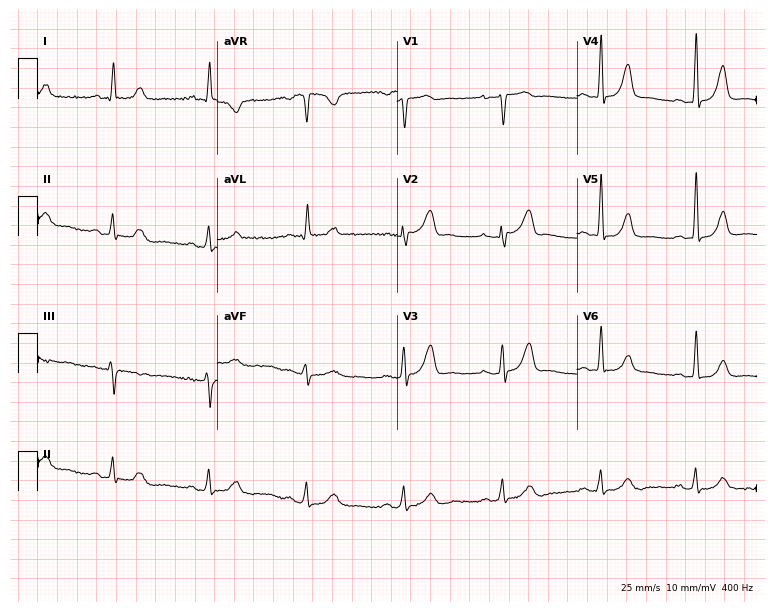
Standard 12-lead ECG recorded from a 61-year-old female patient. None of these six findings is recorded: first-degree AV block, right bundle branch block, left bundle branch block, sinus bradycardia, atrial fibrillation, sinus tachycardia. Other findings, if any, are not listed.